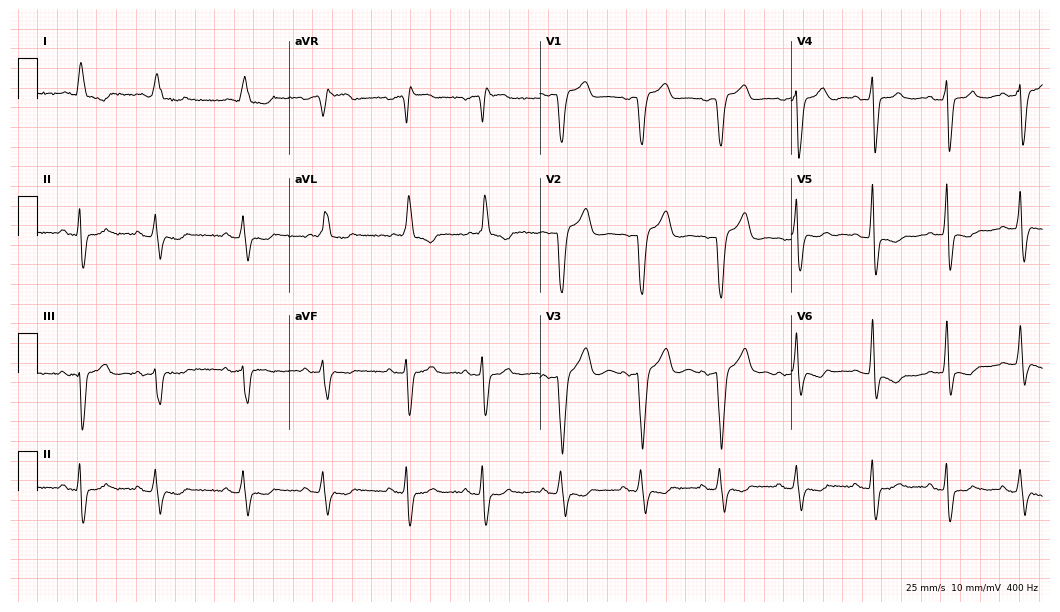
Standard 12-lead ECG recorded from a 74-year-old female patient. None of these six findings is recorded: first-degree AV block, right bundle branch block, left bundle branch block, sinus bradycardia, atrial fibrillation, sinus tachycardia.